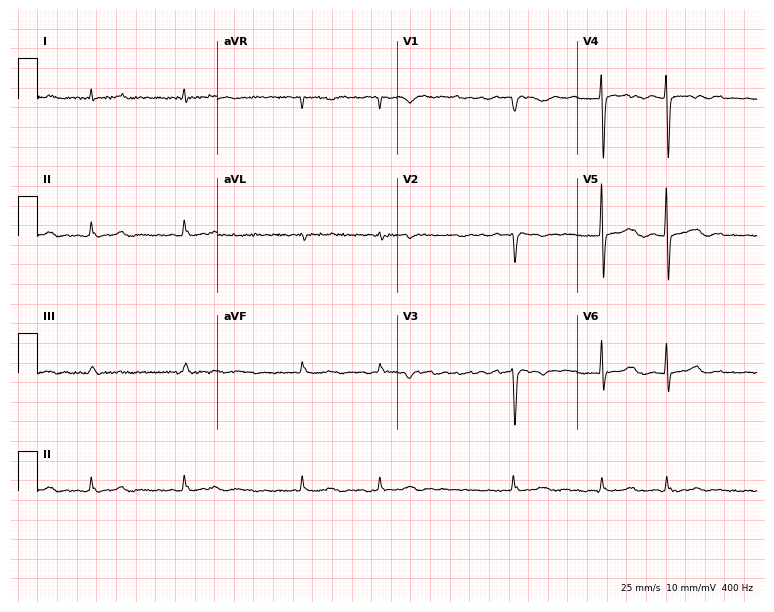
Standard 12-lead ECG recorded from an 80-year-old female patient (7.3-second recording at 400 Hz). The tracing shows atrial fibrillation.